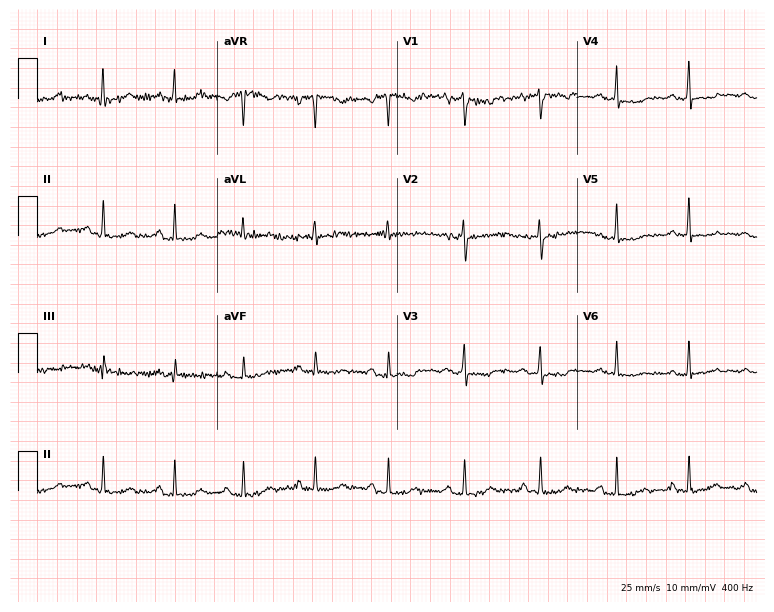
Electrocardiogram (7.3-second recording at 400 Hz), a 40-year-old female patient. Of the six screened findings (first-degree AV block, right bundle branch block (RBBB), left bundle branch block (LBBB), sinus bradycardia, atrial fibrillation (AF), sinus tachycardia), none is recorded.